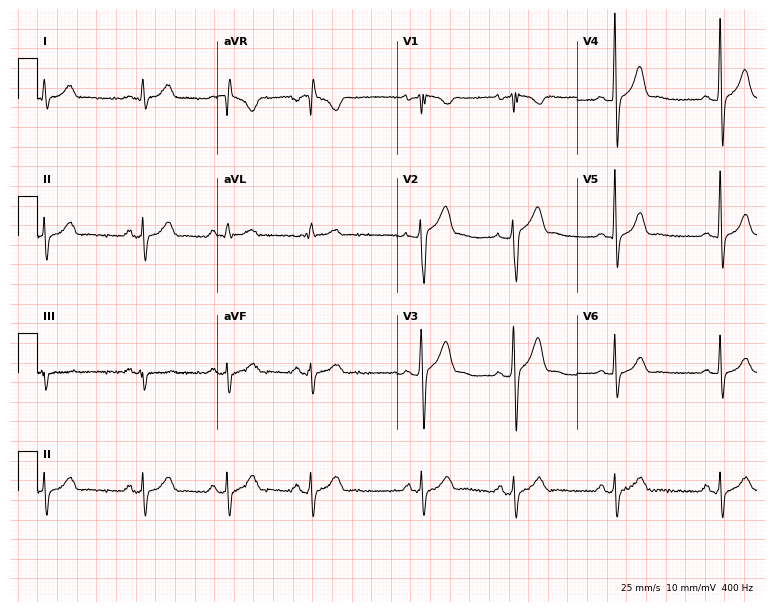
Electrocardiogram (7.3-second recording at 400 Hz), a 28-year-old male. Of the six screened findings (first-degree AV block, right bundle branch block, left bundle branch block, sinus bradycardia, atrial fibrillation, sinus tachycardia), none is recorded. Other findings, if any, are not listed.